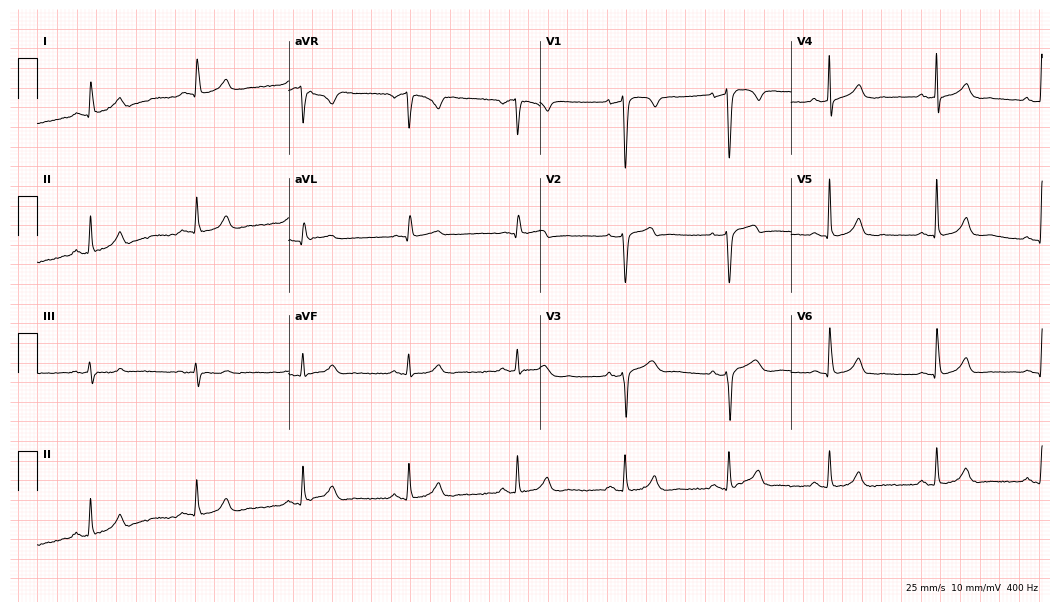
12-lead ECG from a man, 52 years old. Labelled as a normal ECG.